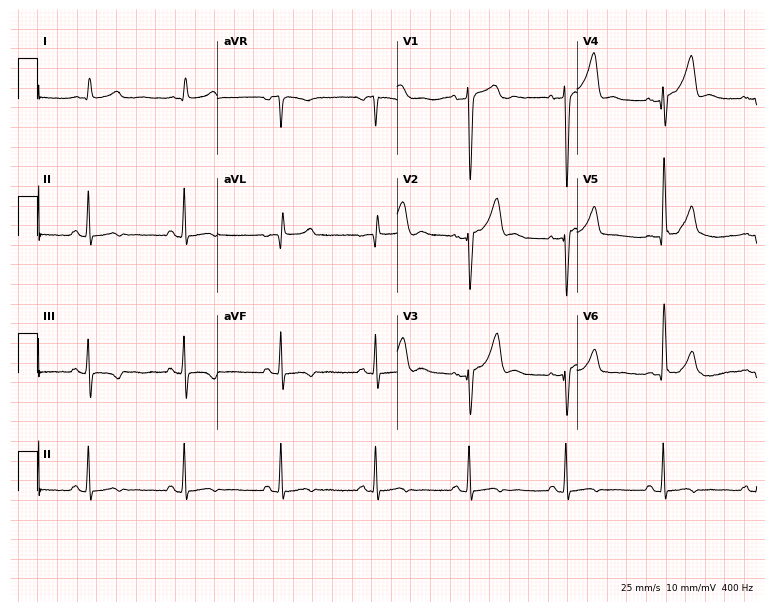
Standard 12-lead ECG recorded from a 66-year-old man (7.3-second recording at 400 Hz). None of these six findings is recorded: first-degree AV block, right bundle branch block, left bundle branch block, sinus bradycardia, atrial fibrillation, sinus tachycardia.